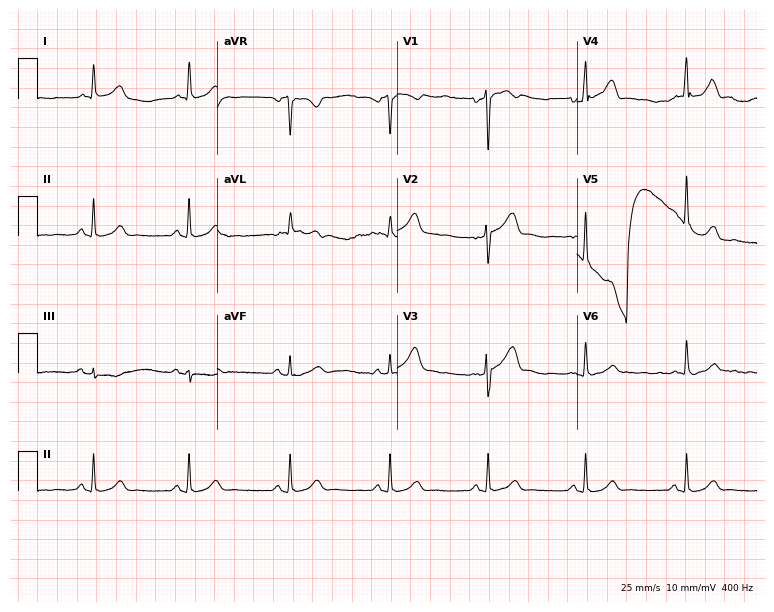
12-lead ECG from a man, 54 years old (7.3-second recording at 400 Hz). Recorded interpretation: within normal limits.